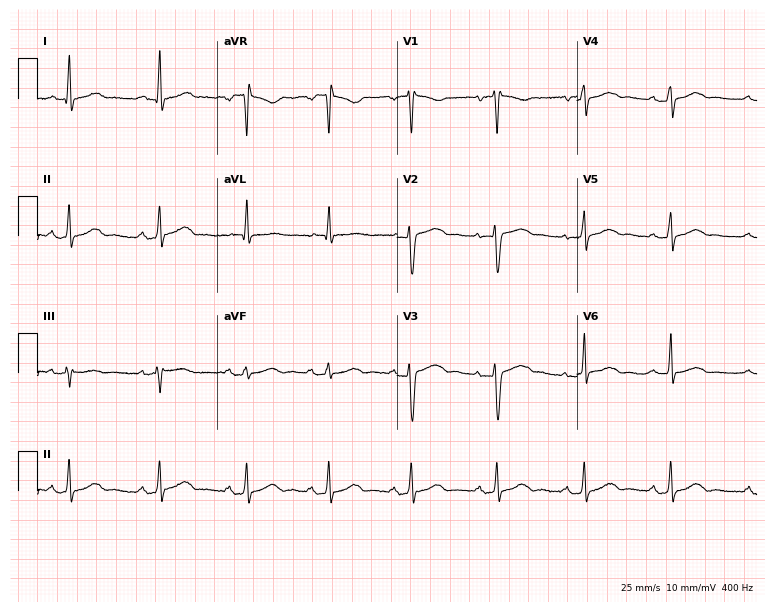
ECG — a female, 28 years old. Labelled as a normal ECG.